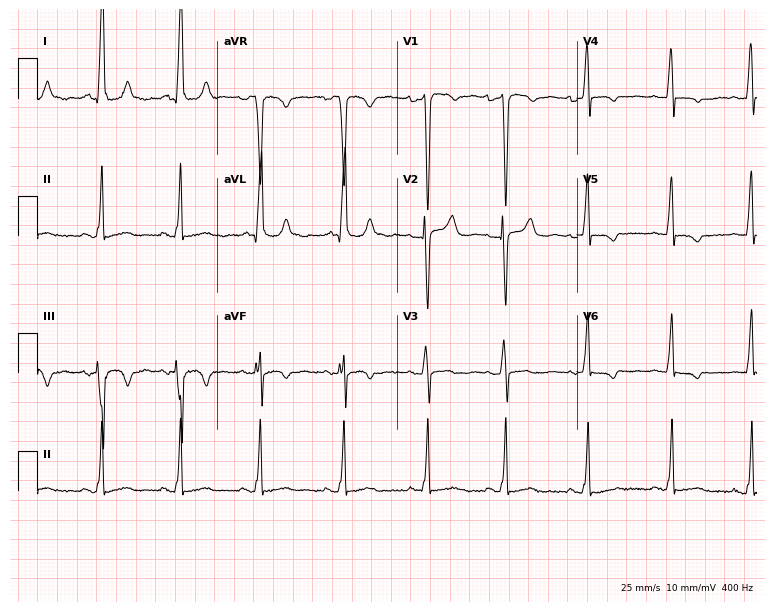
Electrocardiogram (7.3-second recording at 400 Hz), a male patient, 38 years old. Of the six screened findings (first-degree AV block, right bundle branch block (RBBB), left bundle branch block (LBBB), sinus bradycardia, atrial fibrillation (AF), sinus tachycardia), none is recorded. Only these six findings were labelled.